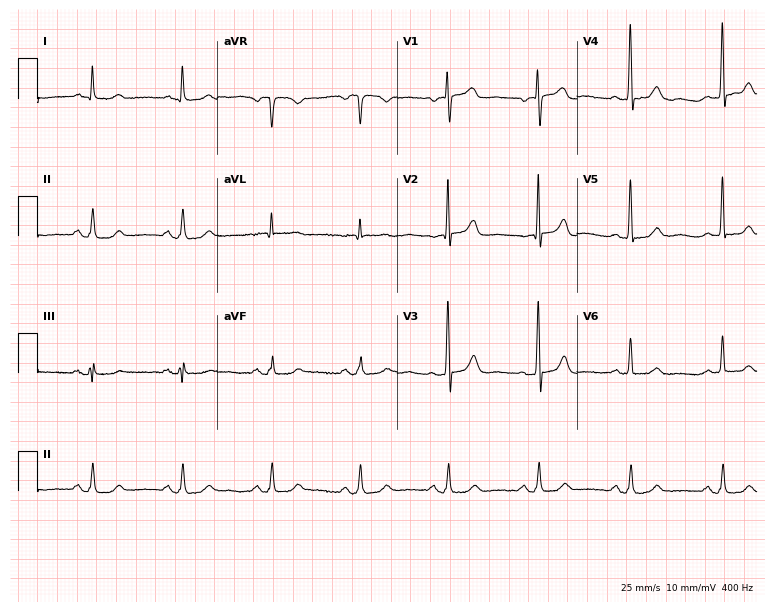
Electrocardiogram, a female patient, 69 years old. Of the six screened findings (first-degree AV block, right bundle branch block (RBBB), left bundle branch block (LBBB), sinus bradycardia, atrial fibrillation (AF), sinus tachycardia), none is recorded.